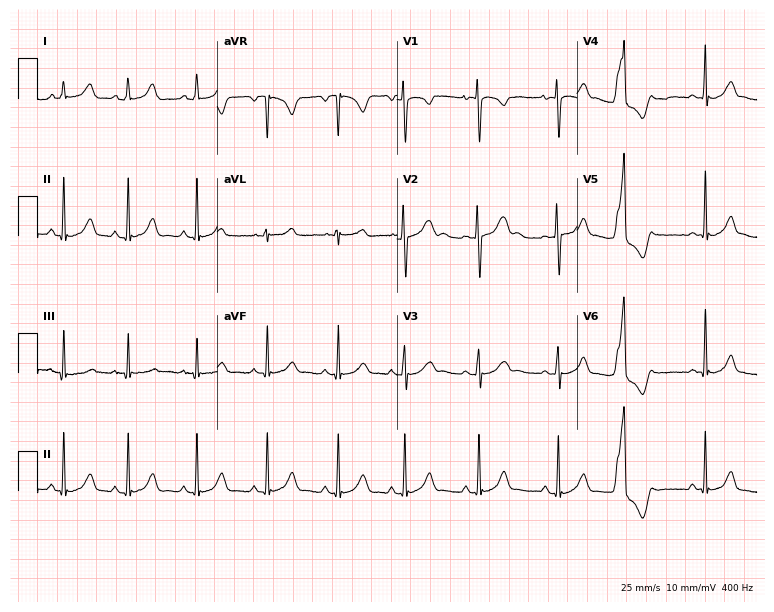
12-lead ECG from a 19-year-old female. Screened for six findings — first-degree AV block, right bundle branch block, left bundle branch block, sinus bradycardia, atrial fibrillation, sinus tachycardia — none is recorded. Other findings, if any, are not listed.